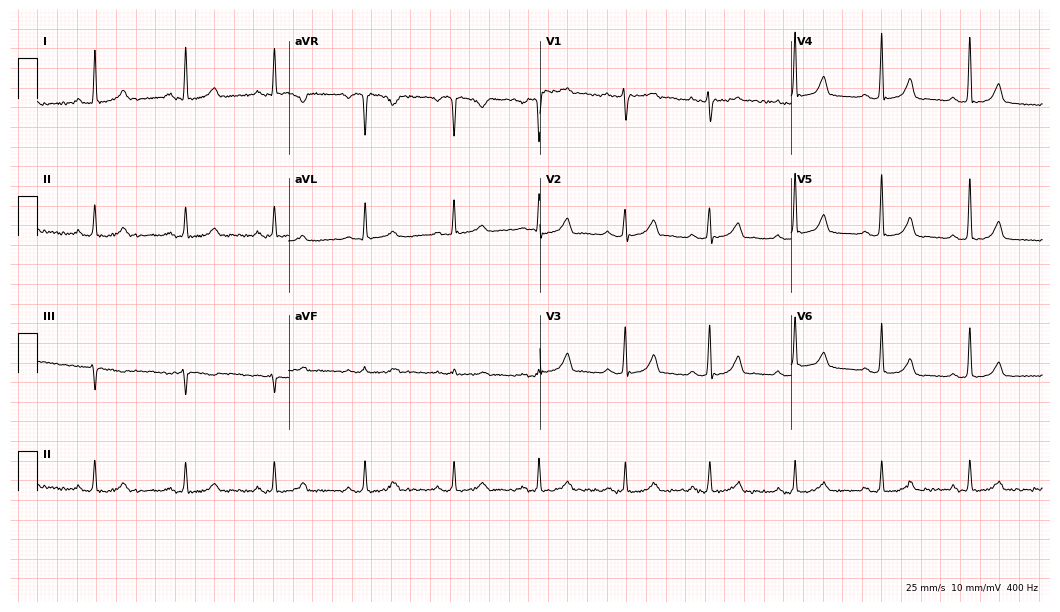
Standard 12-lead ECG recorded from a woman, 43 years old (10.2-second recording at 400 Hz). Read as a normal ECG.